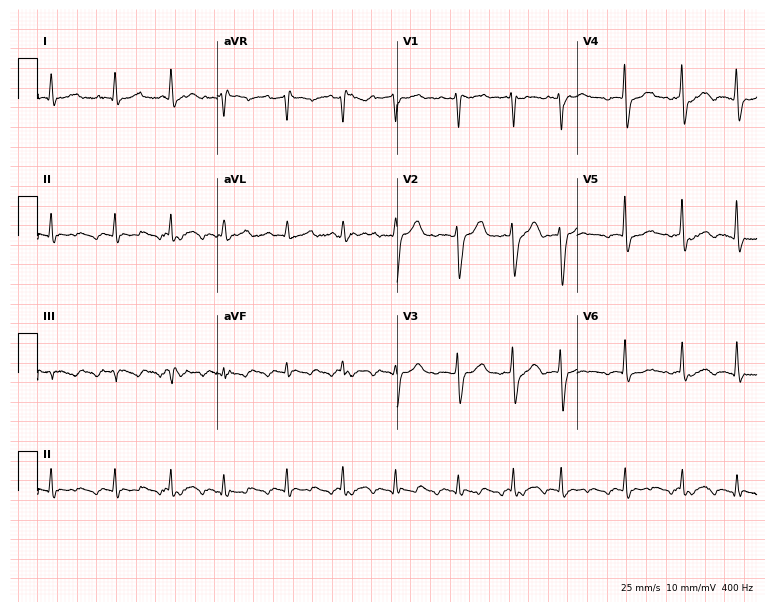
12-lead ECG from a man, 76 years old. No first-degree AV block, right bundle branch block (RBBB), left bundle branch block (LBBB), sinus bradycardia, atrial fibrillation (AF) or sinus tachycardia recorded for this tracing. Only these six findings were labelled.